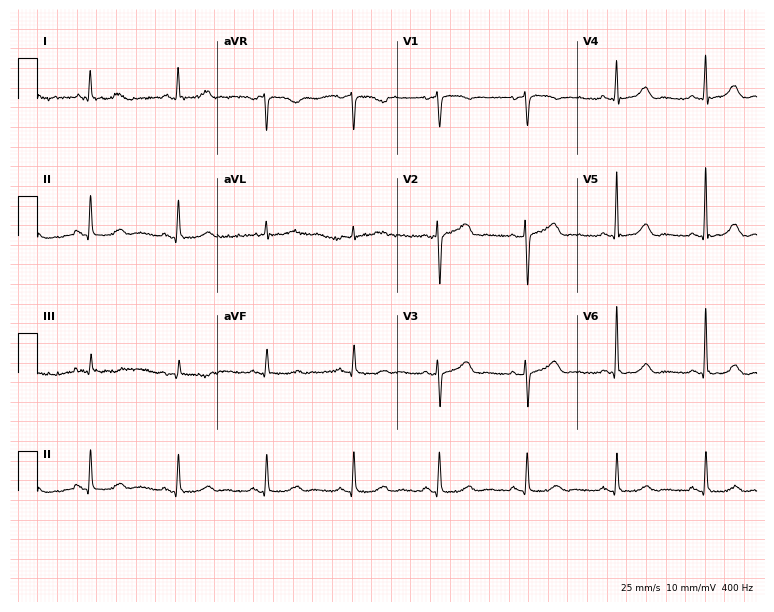
Standard 12-lead ECG recorded from a female patient, 80 years old (7.3-second recording at 400 Hz). None of these six findings is recorded: first-degree AV block, right bundle branch block (RBBB), left bundle branch block (LBBB), sinus bradycardia, atrial fibrillation (AF), sinus tachycardia. Findings outside these six are not listed.